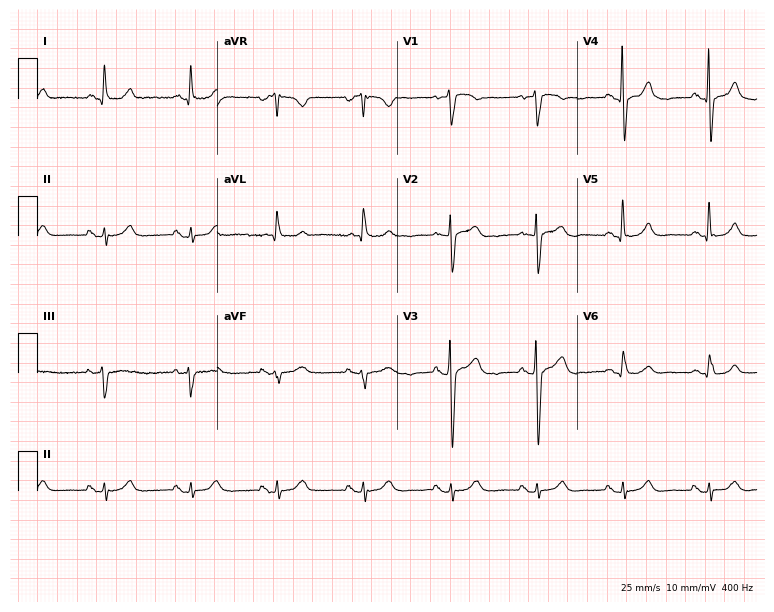
Resting 12-lead electrocardiogram (7.3-second recording at 400 Hz). Patient: a man, 70 years old. Read as a normal ECG.